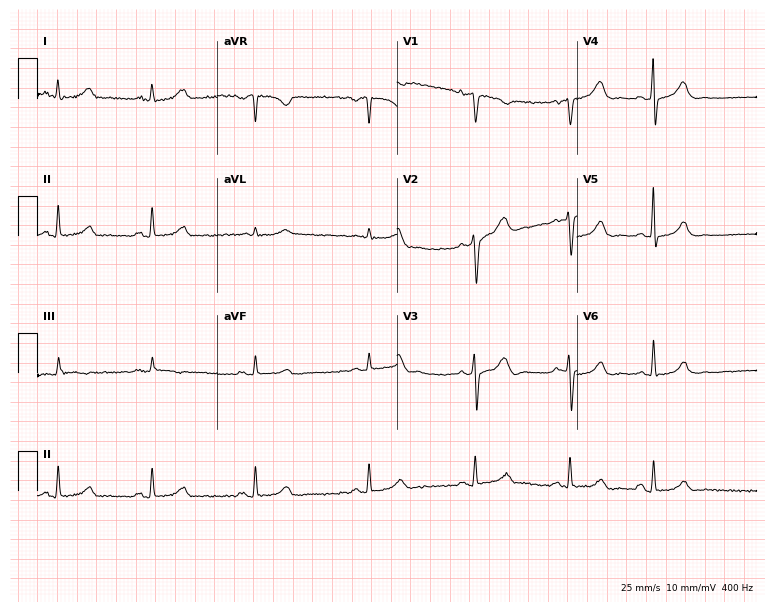
12-lead ECG (7.3-second recording at 400 Hz) from a female patient, 41 years old. Screened for six findings — first-degree AV block, right bundle branch block, left bundle branch block, sinus bradycardia, atrial fibrillation, sinus tachycardia — none is recorded.